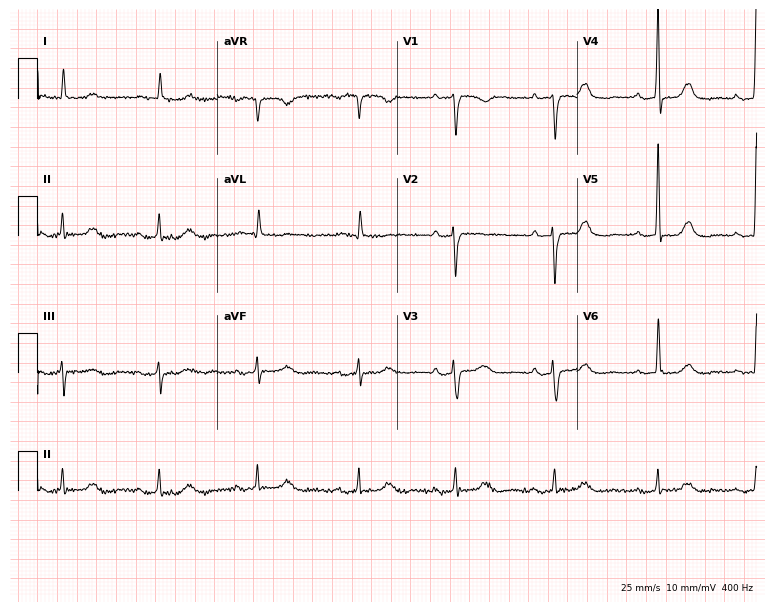
Standard 12-lead ECG recorded from a 73-year-old female (7.3-second recording at 400 Hz). None of these six findings is recorded: first-degree AV block, right bundle branch block (RBBB), left bundle branch block (LBBB), sinus bradycardia, atrial fibrillation (AF), sinus tachycardia.